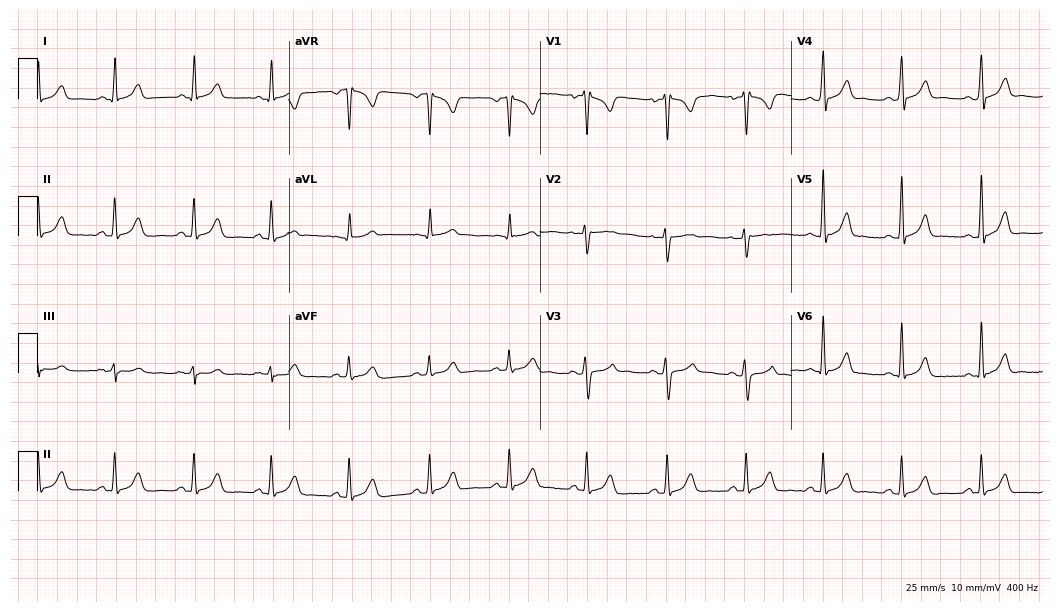
12-lead ECG from a female patient, 20 years old (10.2-second recording at 400 Hz). Recorded interpretation: within normal limits.